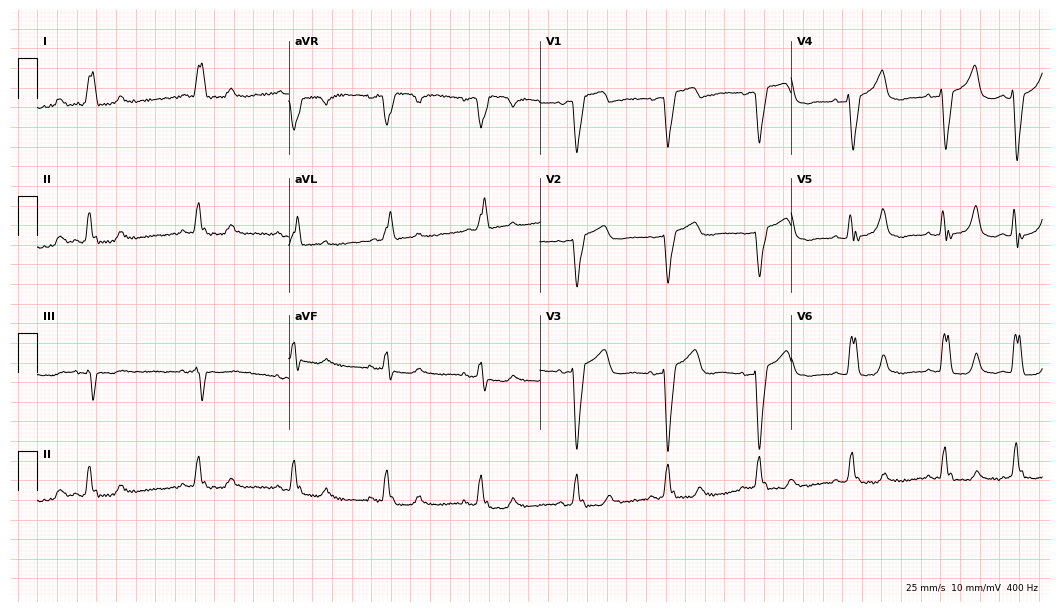
Resting 12-lead electrocardiogram (10.2-second recording at 400 Hz). Patient: a woman, 73 years old. The tracing shows left bundle branch block (LBBB).